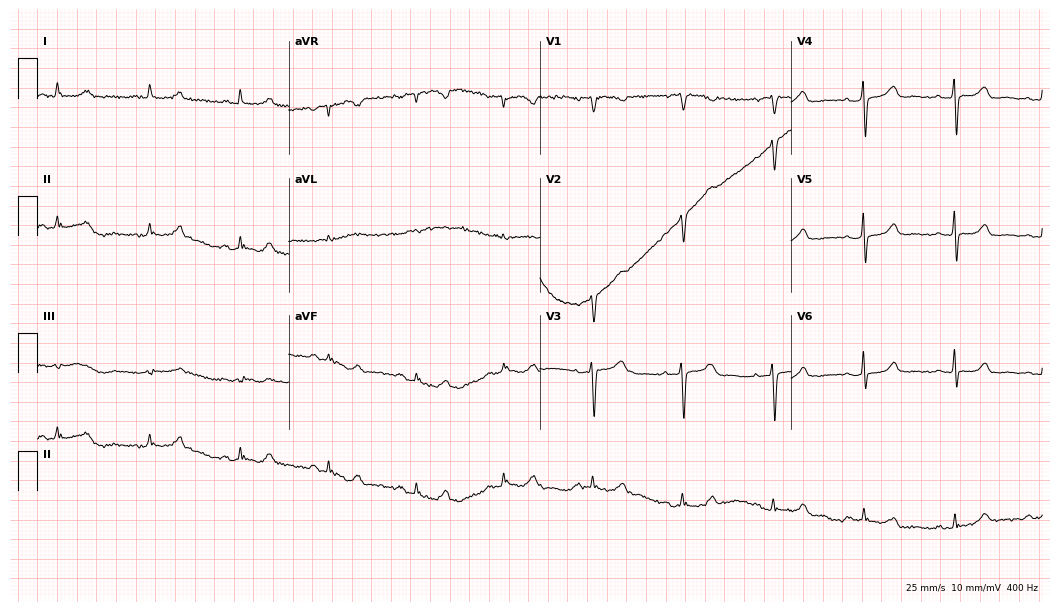
ECG — a 72-year-old female. Labelled as a normal ECG.